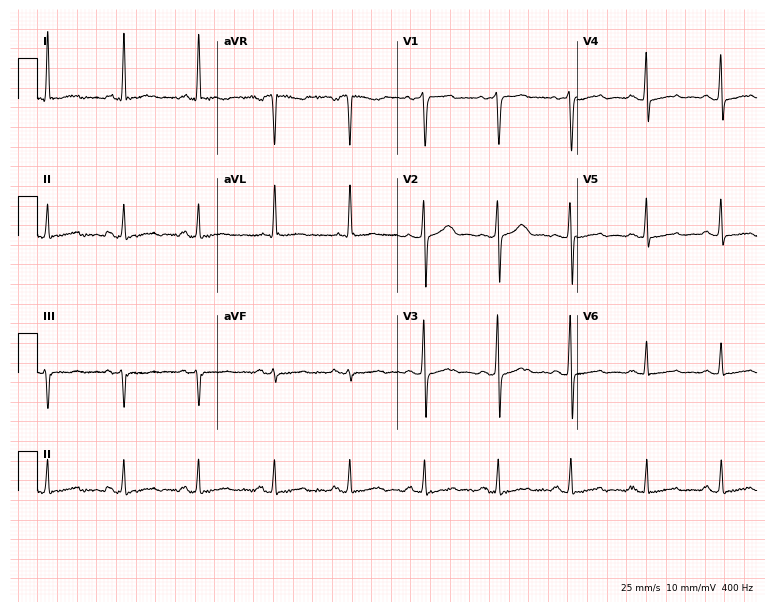
12-lead ECG from a female patient, 59 years old (7.3-second recording at 400 Hz). No first-degree AV block, right bundle branch block, left bundle branch block, sinus bradycardia, atrial fibrillation or sinus tachycardia recorded for this tracing.